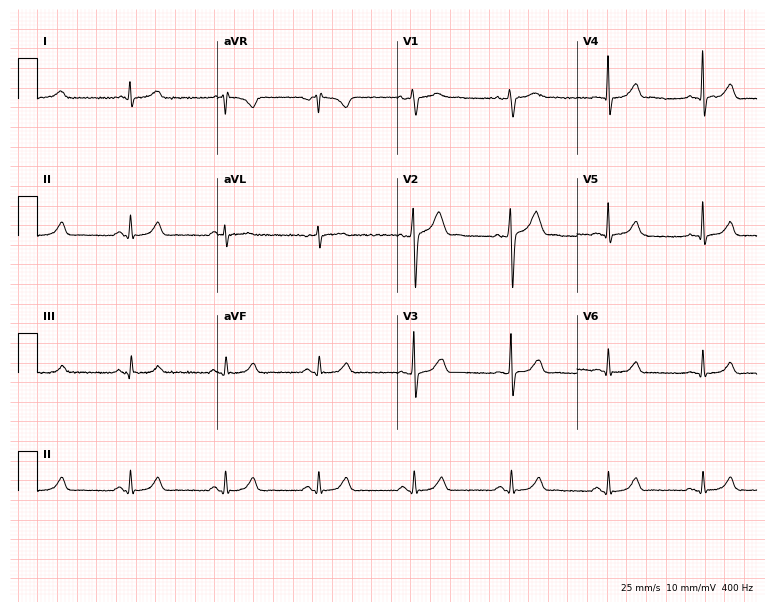
Resting 12-lead electrocardiogram (7.3-second recording at 400 Hz). Patient: a male, 46 years old. Read as a normal ECG.